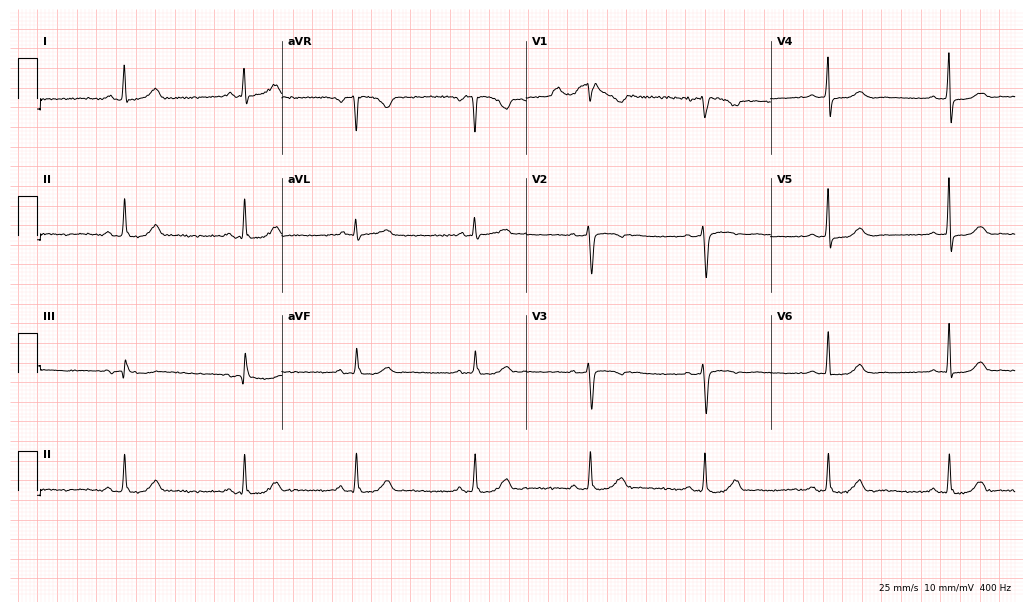
12-lead ECG from a female patient, 57 years old. Shows sinus bradycardia (a sinus rate of 50 beats per minute or less).